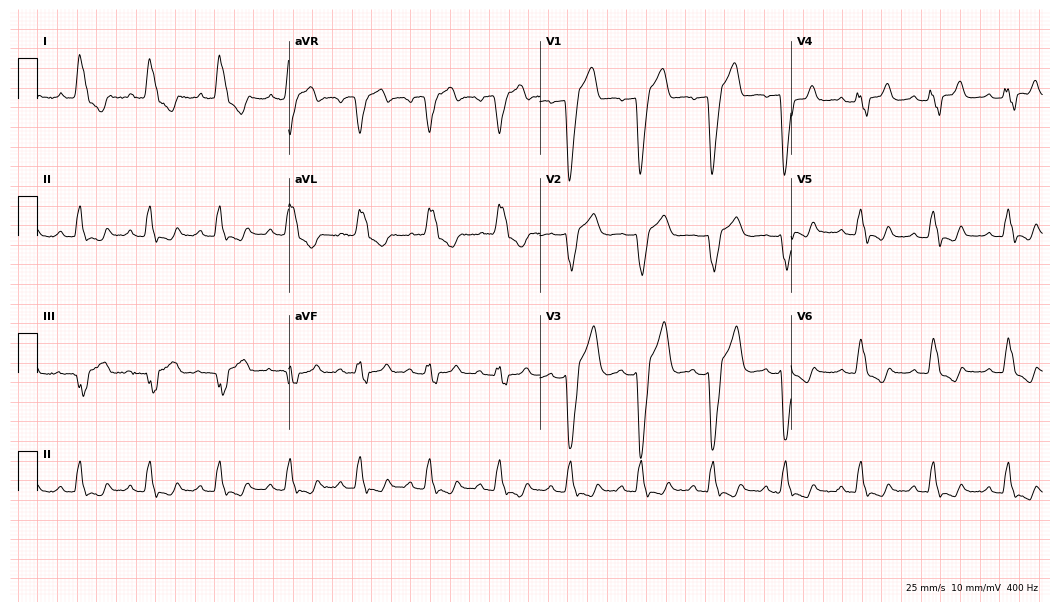
12-lead ECG from a man, 50 years old. Shows left bundle branch block.